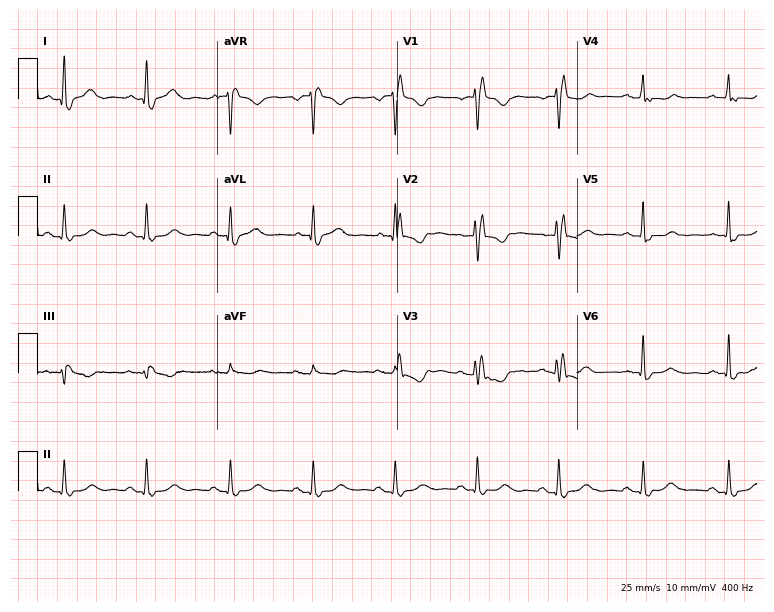
Resting 12-lead electrocardiogram (7.3-second recording at 400 Hz). Patient: a 52-year-old female. The tracing shows right bundle branch block.